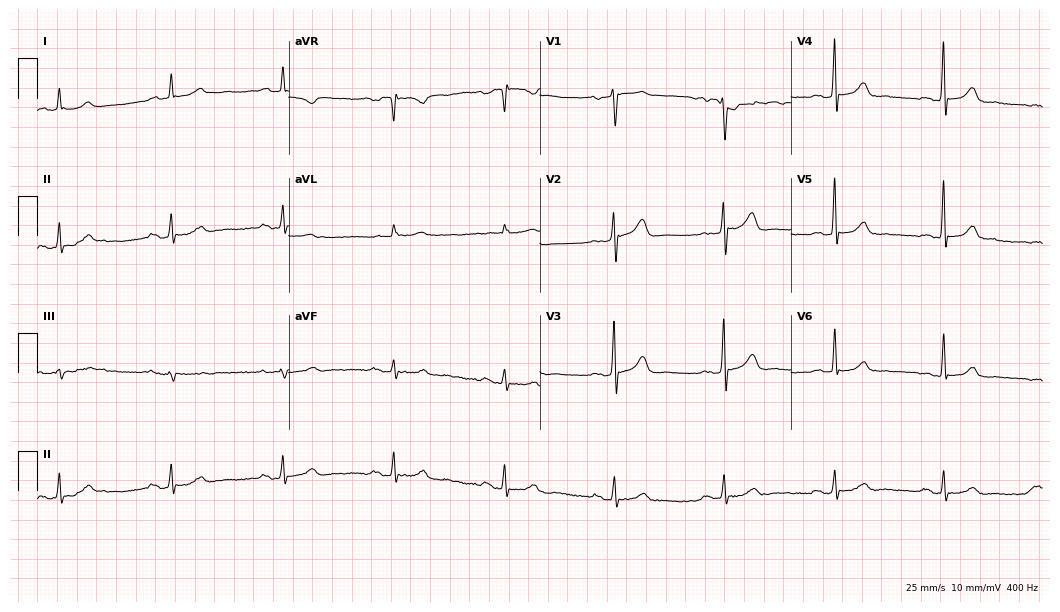
Standard 12-lead ECG recorded from a female patient, 61 years old. Read as a normal ECG.